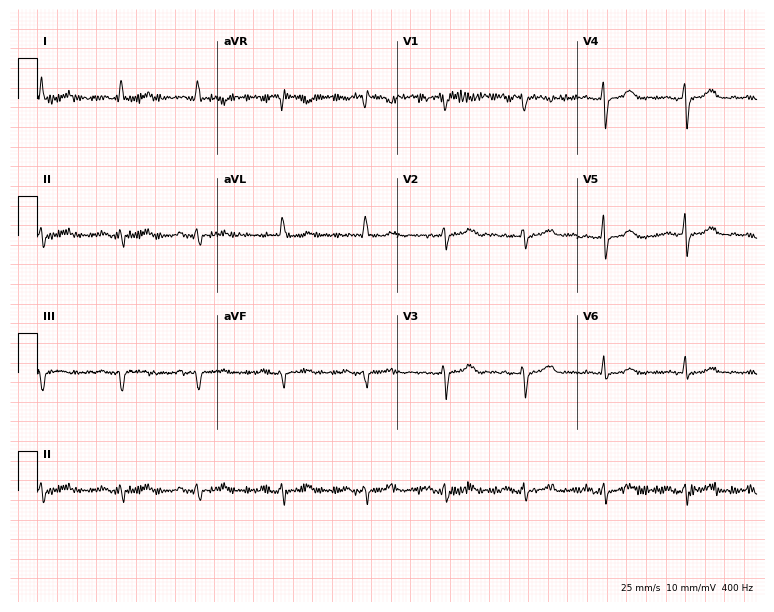
12-lead ECG from a 74-year-old female patient. No first-degree AV block, right bundle branch block (RBBB), left bundle branch block (LBBB), sinus bradycardia, atrial fibrillation (AF) or sinus tachycardia recorded for this tracing. Other findings, if any, are not listed.